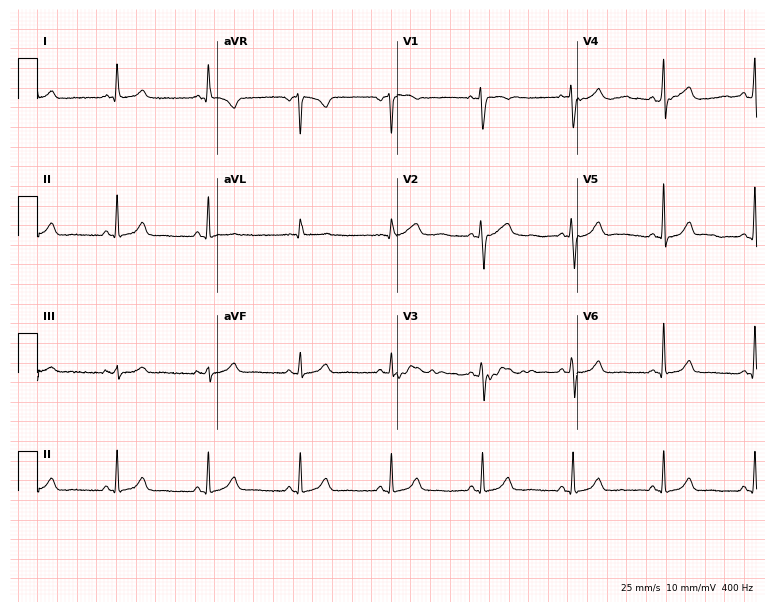
Standard 12-lead ECG recorded from a female, 46 years old. Read as a normal ECG.